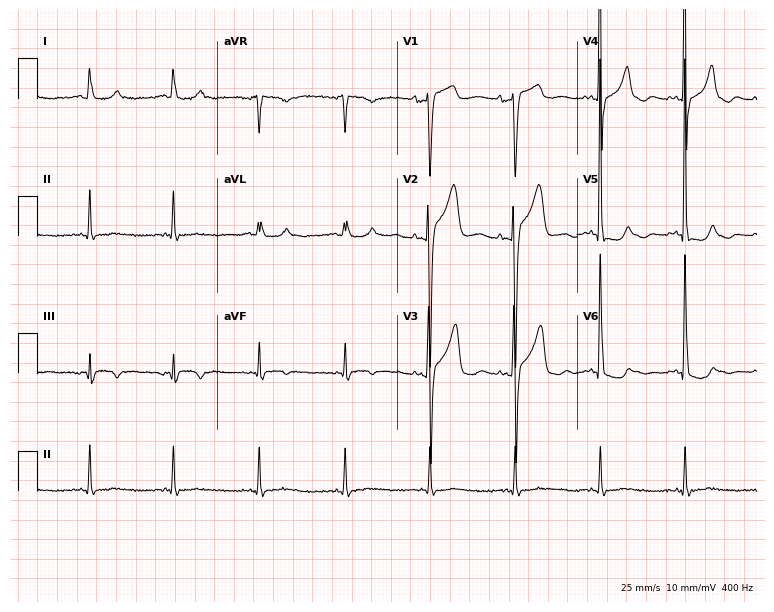
Electrocardiogram, an 80-year-old man. Of the six screened findings (first-degree AV block, right bundle branch block, left bundle branch block, sinus bradycardia, atrial fibrillation, sinus tachycardia), none is recorded. Other findings, if any, are not listed.